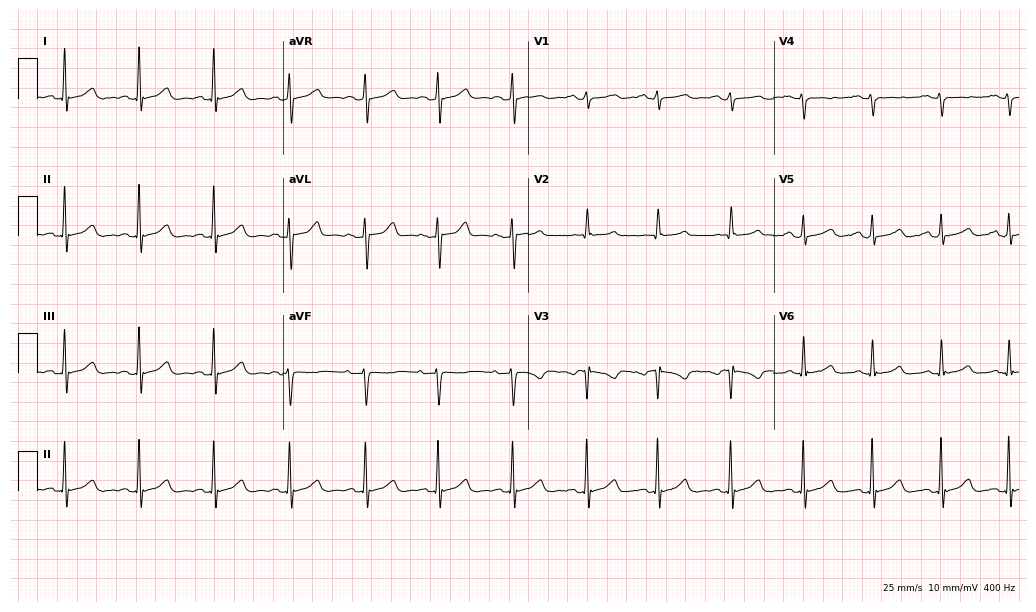
Electrocardiogram (10-second recording at 400 Hz), a 48-year-old female. Of the six screened findings (first-degree AV block, right bundle branch block (RBBB), left bundle branch block (LBBB), sinus bradycardia, atrial fibrillation (AF), sinus tachycardia), none is recorded. Findings outside these six are not listed.